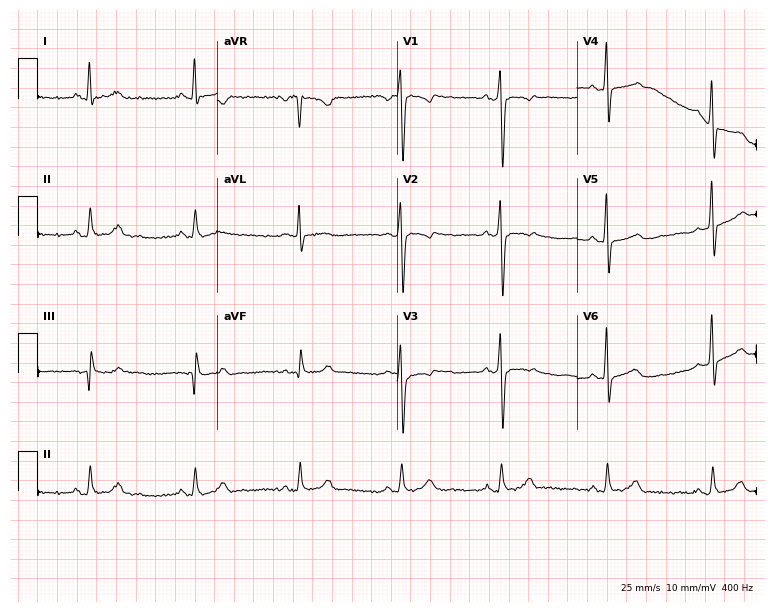
12-lead ECG (7.3-second recording at 400 Hz) from a 46-year-old male patient. Screened for six findings — first-degree AV block, right bundle branch block, left bundle branch block, sinus bradycardia, atrial fibrillation, sinus tachycardia — none is recorded. Findings outside these six are not listed.